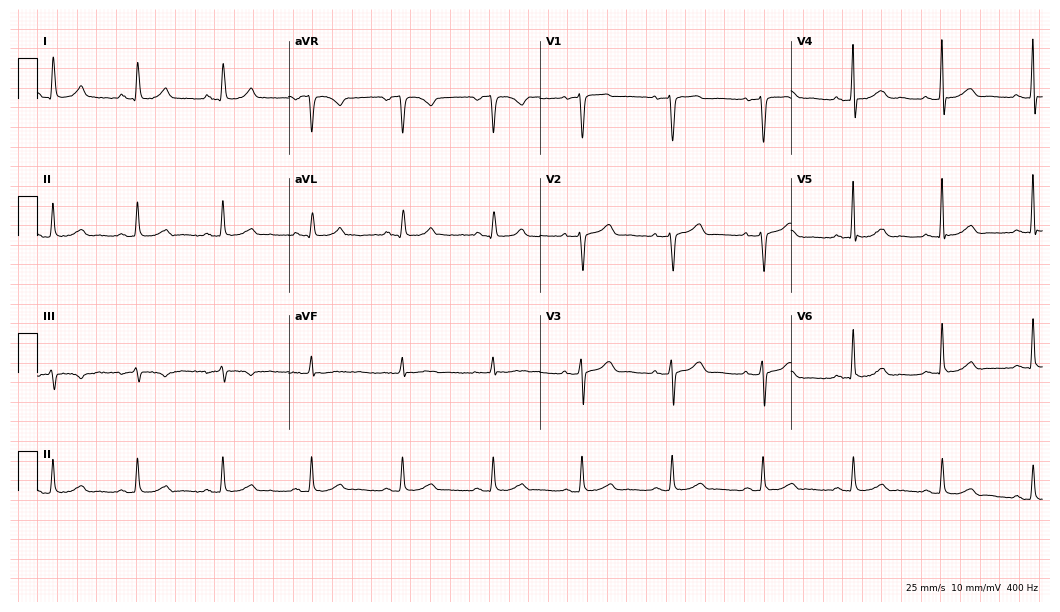
Standard 12-lead ECG recorded from a 62-year-old woman (10.2-second recording at 400 Hz). Read as a normal ECG.